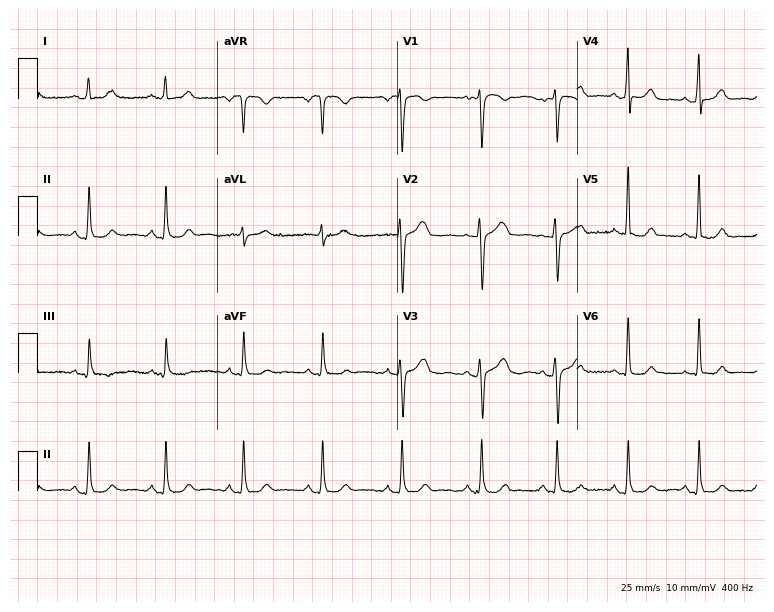
Electrocardiogram (7.3-second recording at 400 Hz), a female patient, 29 years old. Overall reading on record: normal ECG.